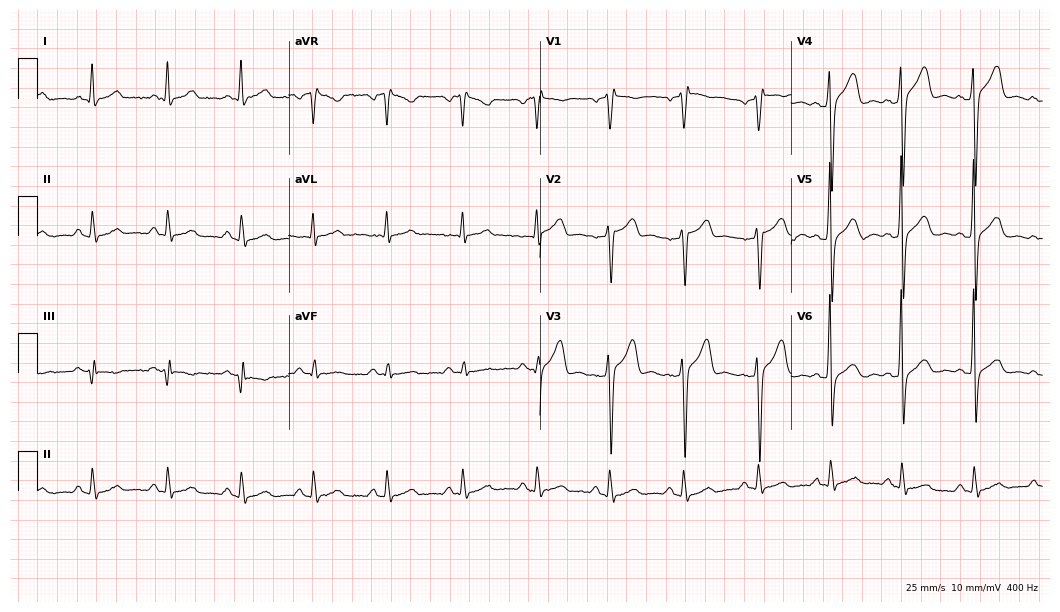
12-lead ECG (10.2-second recording at 400 Hz) from a male patient, 44 years old. Screened for six findings — first-degree AV block, right bundle branch block, left bundle branch block, sinus bradycardia, atrial fibrillation, sinus tachycardia — none is recorded. Other findings, if any, are not listed.